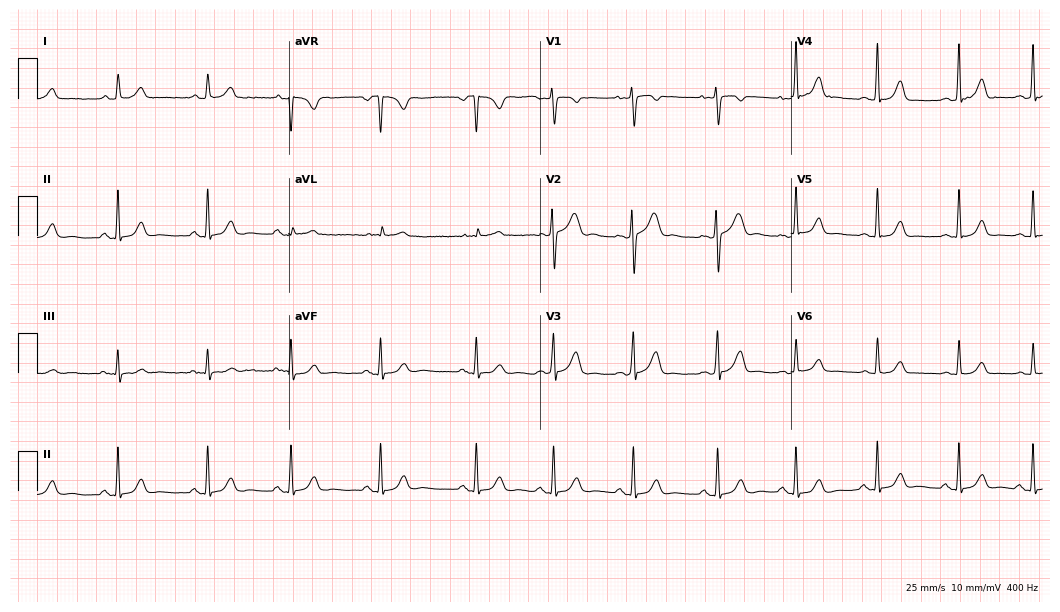
Resting 12-lead electrocardiogram. Patient: a female, 31 years old. Read as a normal ECG.